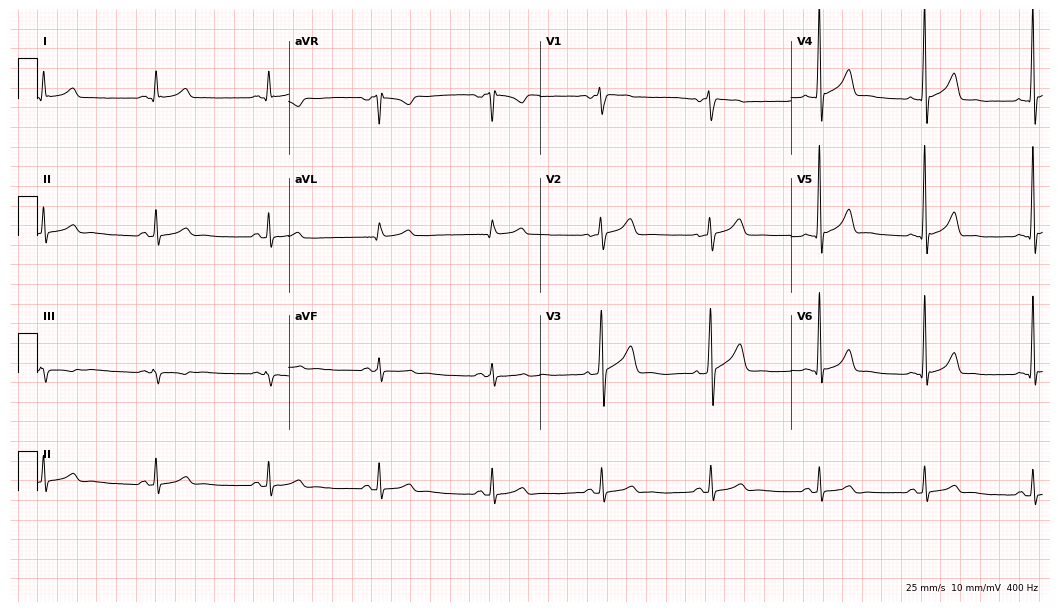
12-lead ECG from a male, 39 years old. Recorded interpretation: within normal limits.